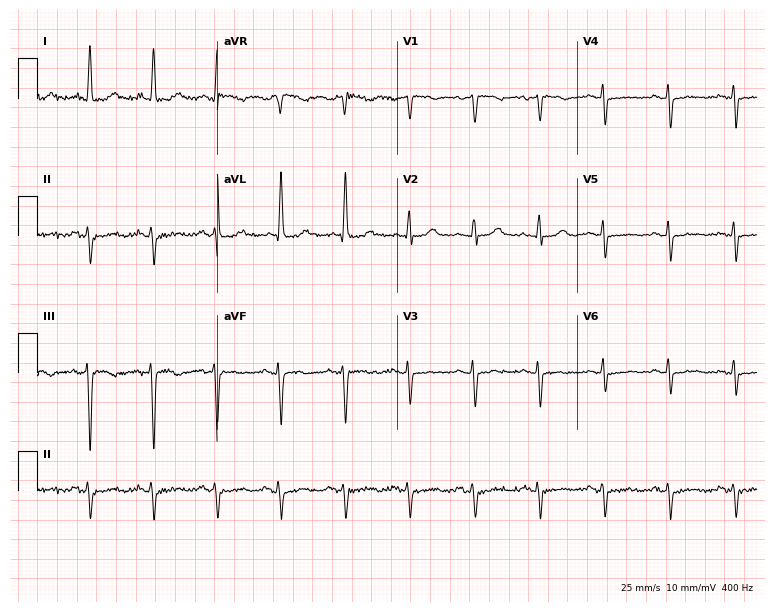
Electrocardiogram, a woman, 68 years old. Of the six screened findings (first-degree AV block, right bundle branch block, left bundle branch block, sinus bradycardia, atrial fibrillation, sinus tachycardia), none is recorded. Findings outside these six are not listed.